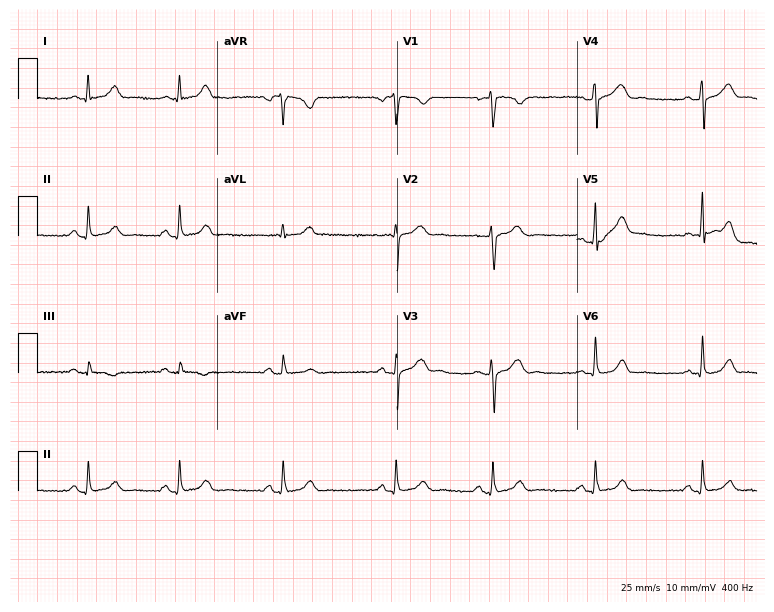
12-lead ECG from a 26-year-old female patient. Labelled as a normal ECG.